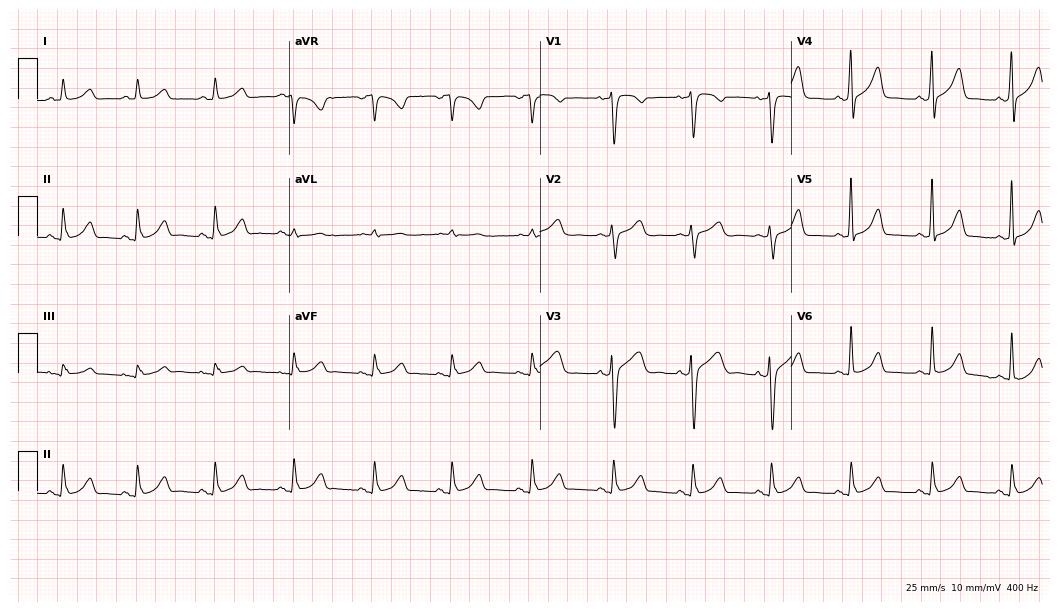
Electrocardiogram (10.2-second recording at 400 Hz), a female, 60 years old. Overall reading on record: normal ECG.